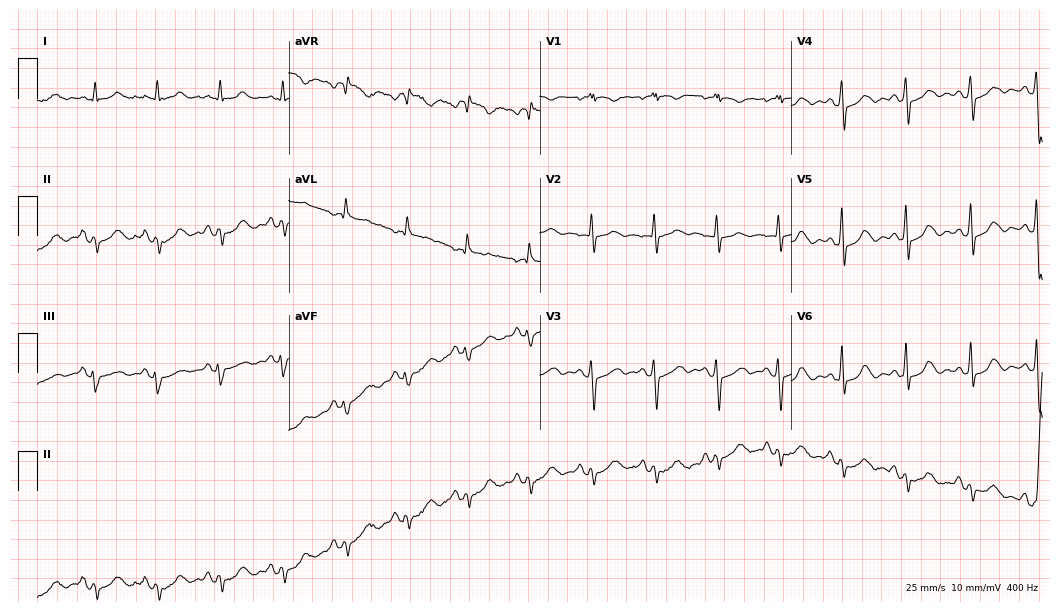
12-lead ECG (10.2-second recording at 400 Hz) from a 74-year-old female patient. Screened for six findings — first-degree AV block, right bundle branch block, left bundle branch block, sinus bradycardia, atrial fibrillation, sinus tachycardia — none is recorded.